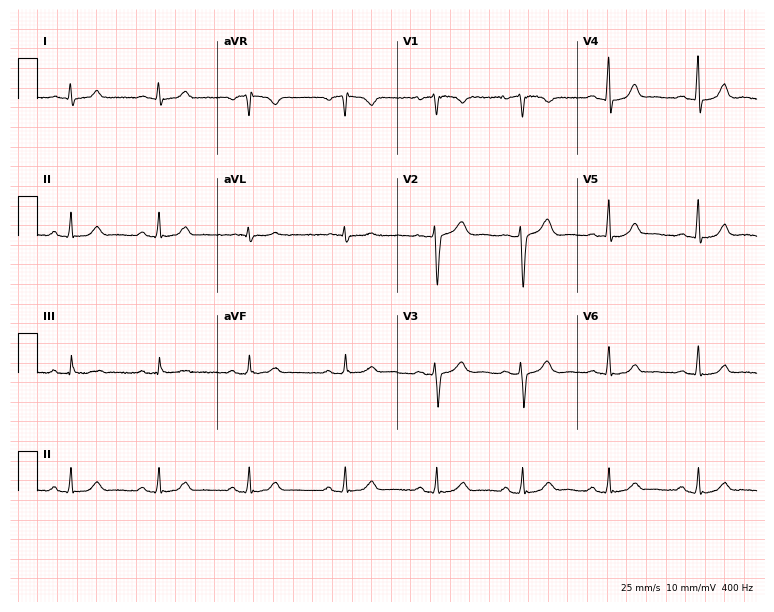
Resting 12-lead electrocardiogram (7.3-second recording at 400 Hz). Patient: a 55-year-old female. Read as a normal ECG.